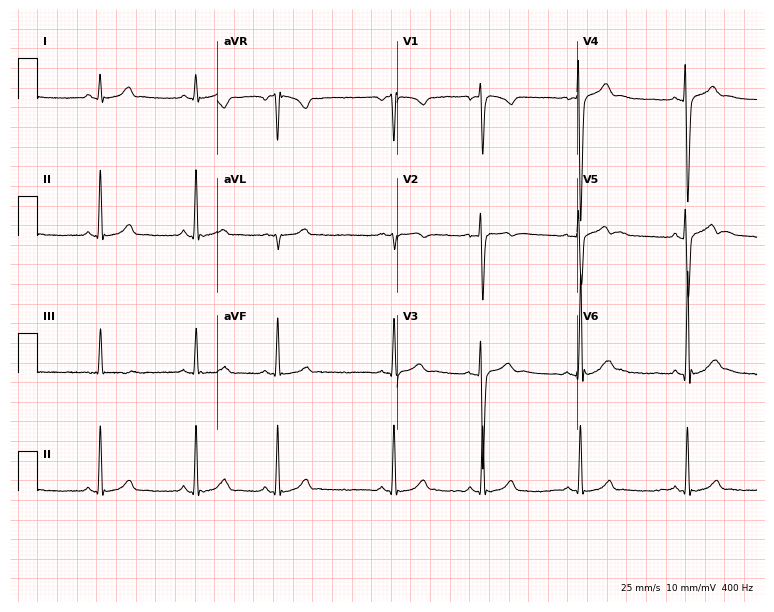
12-lead ECG from a male patient, 33 years old (7.3-second recording at 400 Hz). No first-degree AV block, right bundle branch block, left bundle branch block, sinus bradycardia, atrial fibrillation or sinus tachycardia recorded for this tracing. Findings outside these six are not listed.